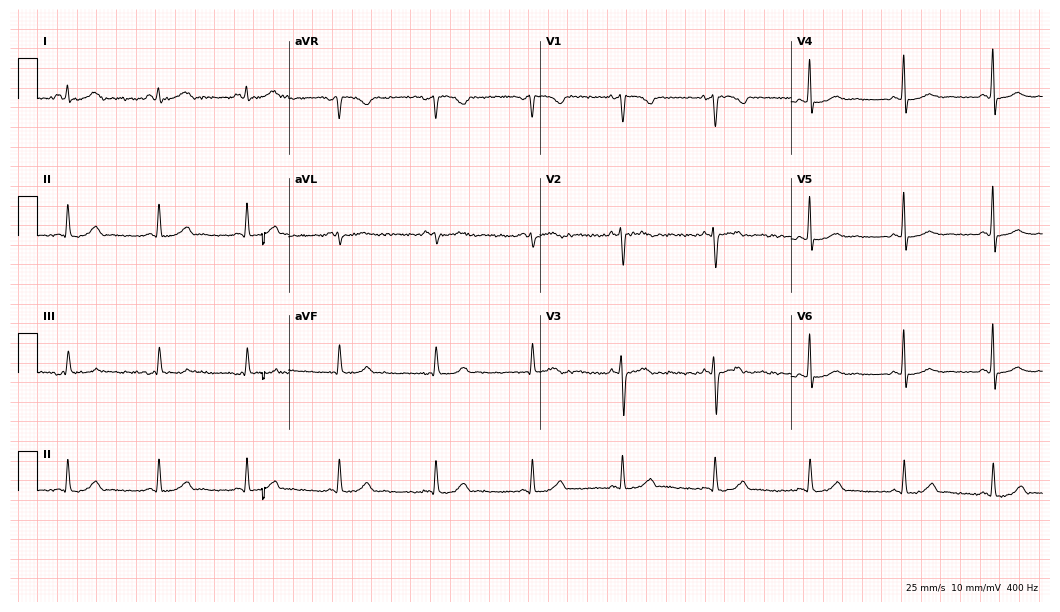
Resting 12-lead electrocardiogram (10.2-second recording at 400 Hz). Patient: a female, 44 years old. None of these six findings is recorded: first-degree AV block, right bundle branch block (RBBB), left bundle branch block (LBBB), sinus bradycardia, atrial fibrillation (AF), sinus tachycardia. Only these six findings were labelled.